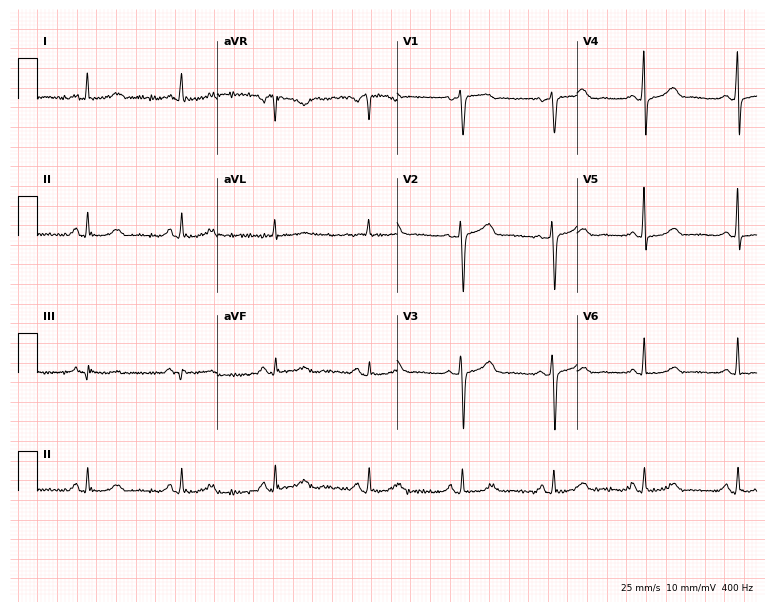
12-lead ECG from a female, 67 years old. Recorded interpretation: within normal limits.